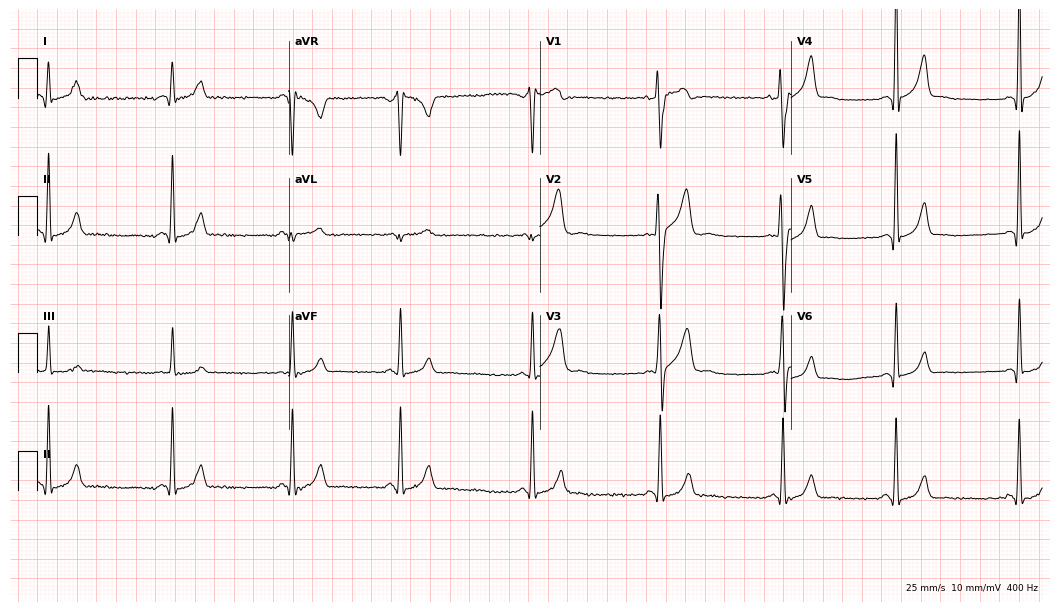
12-lead ECG from a 19-year-old man. Shows sinus bradycardia (a sinus rate of 50 beats per minute or less).